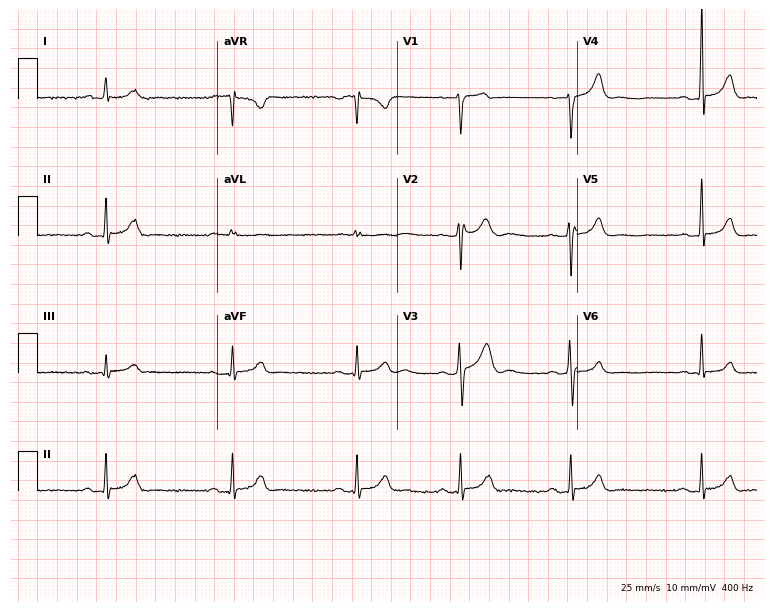
Resting 12-lead electrocardiogram (7.3-second recording at 400 Hz). Patient: a 25-year-old male. The tracing shows sinus bradycardia (a sinus rate of 50 beats per minute or less).